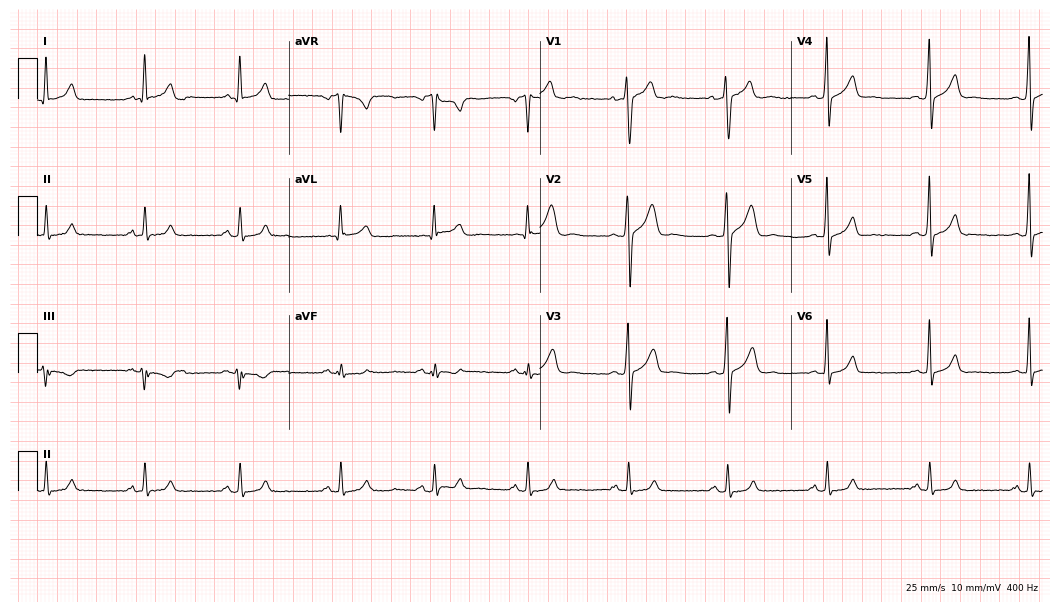
12-lead ECG (10.2-second recording at 400 Hz) from a 24-year-old man. Labelled as a normal ECG.